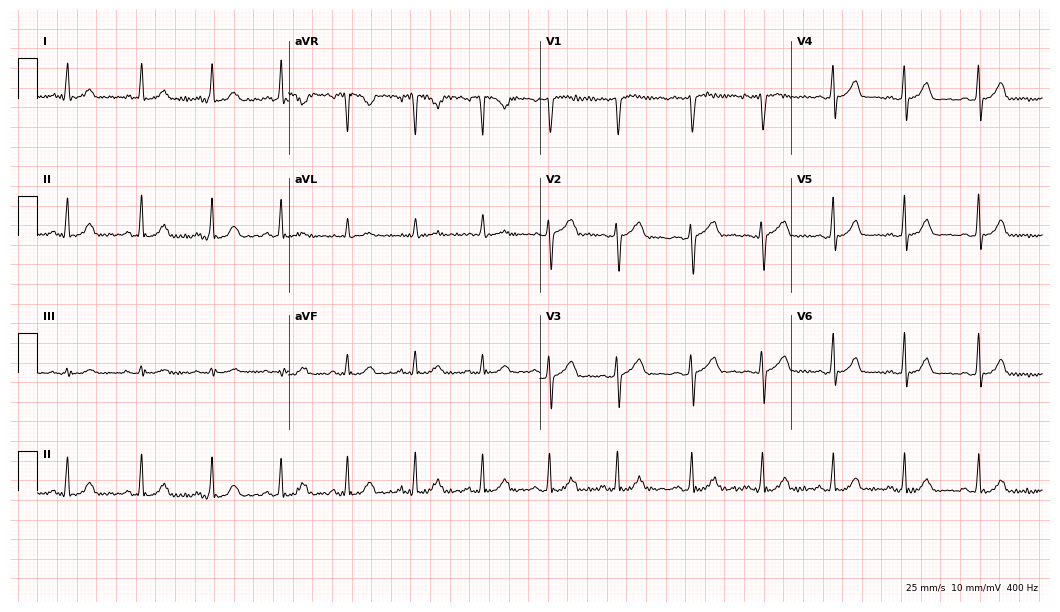
Electrocardiogram (10.2-second recording at 400 Hz), a 22-year-old female patient. Overall reading on record: normal ECG.